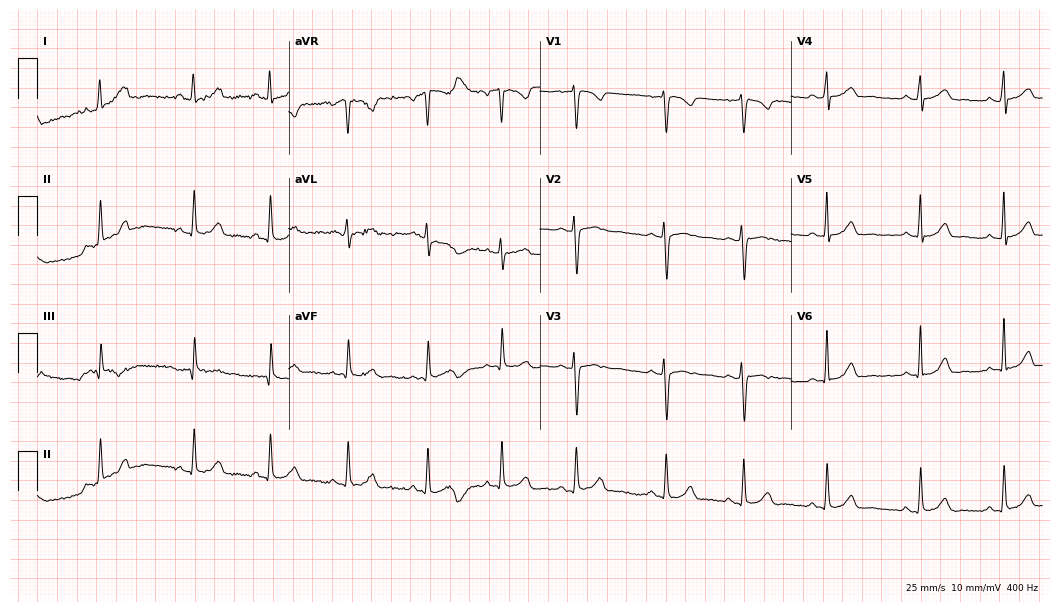
Resting 12-lead electrocardiogram (10.2-second recording at 400 Hz). Patient: a female, 18 years old. Read as a normal ECG.